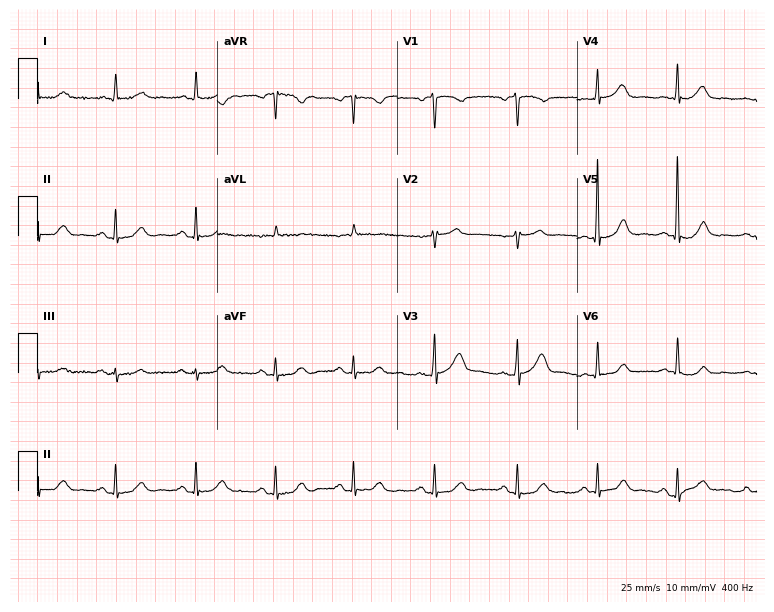
Resting 12-lead electrocardiogram (7.3-second recording at 400 Hz). Patient: a man, 55 years old. Read as a normal ECG.